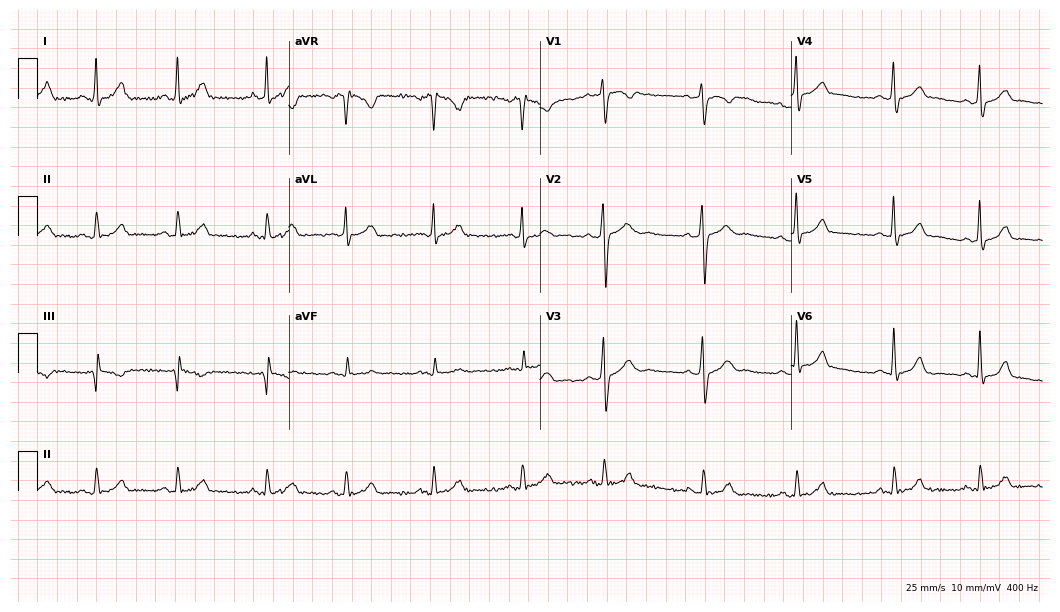
12-lead ECG from a male patient, 24 years old (10.2-second recording at 400 Hz). Recorded interpretation: within normal limits.